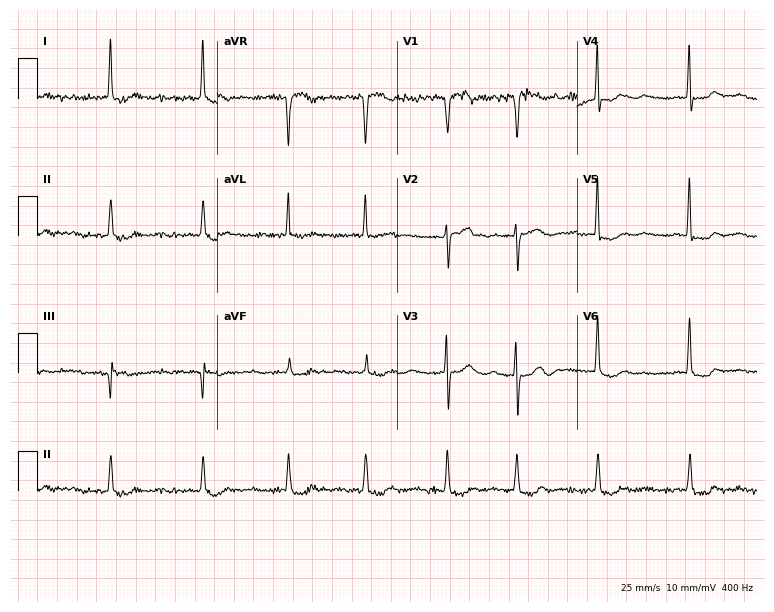
Standard 12-lead ECG recorded from a woman, 80 years old (7.3-second recording at 400 Hz). None of these six findings is recorded: first-degree AV block, right bundle branch block, left bundle branch block, sinus bradycardia, atrial fibrillation, sinus tachycardia.